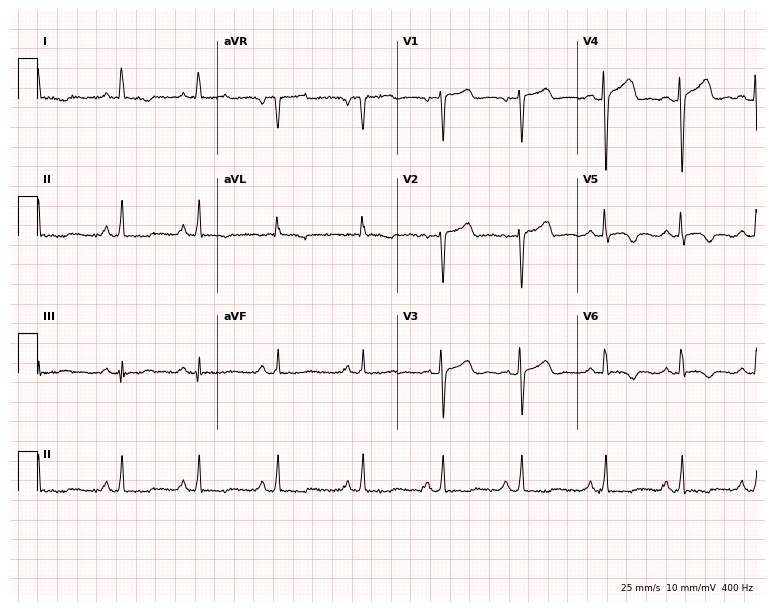
Resting 12-lead electrocardiogram. Patient: a 54-year-old female. None of these six findings is recorded: first-degree AV block, right bundle branch block, left bundle branch block, sinus bradycardia, atrial fibrillation, sinus tachycardia. Findings outside these six are not listed.